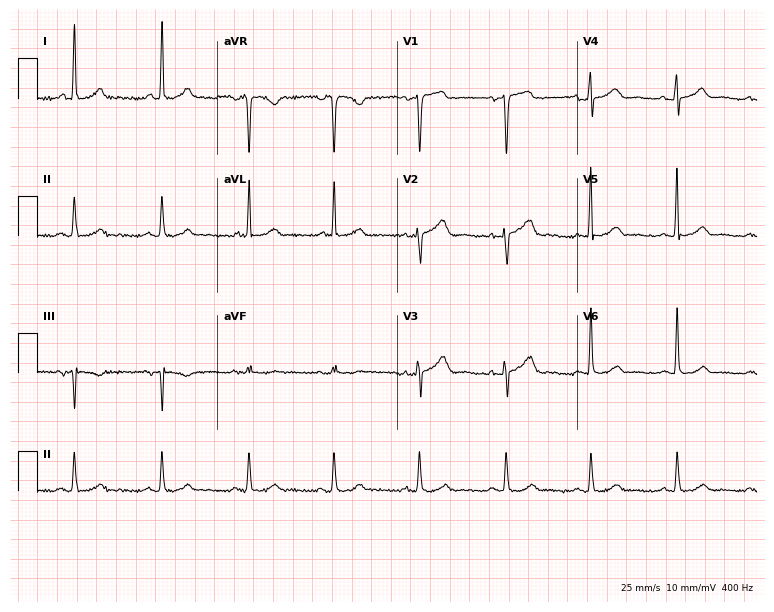
Electrocardiogram (7.3-second recording at 400 Hz), a female, 68 years old. Of the six screened findings (first-degree AV block, right bundle branch block, left bundle branch block, sinus bradycardia, atrial fibrillation, sinus tachycardia), none is recorded.